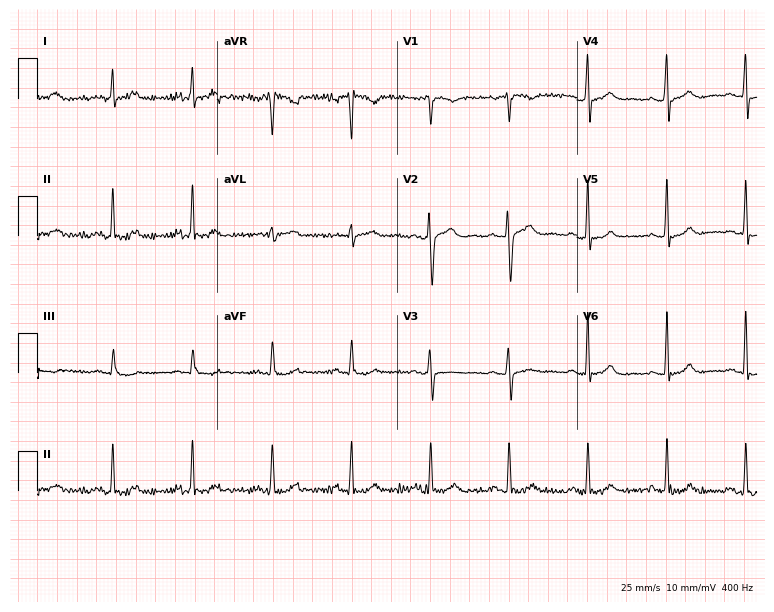
Standard 12-lead ECG recorded from a 61-year-old man (7.3-second recording at 400 Hz). Read as a normal ECG.